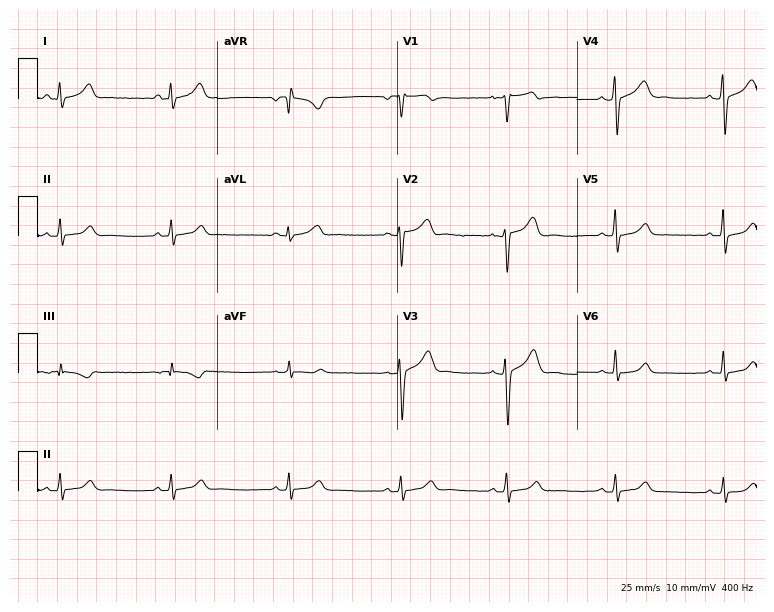
Standard 12-lead ECG recorded from a 26-year-old male (7.3-second recording at 400 Hz). None of these six findings is recorded: first-degree AV block, right bundle branch block, left bundle branch block, sinus bradycardia, atrial fibrillation, sinus tachycardia.